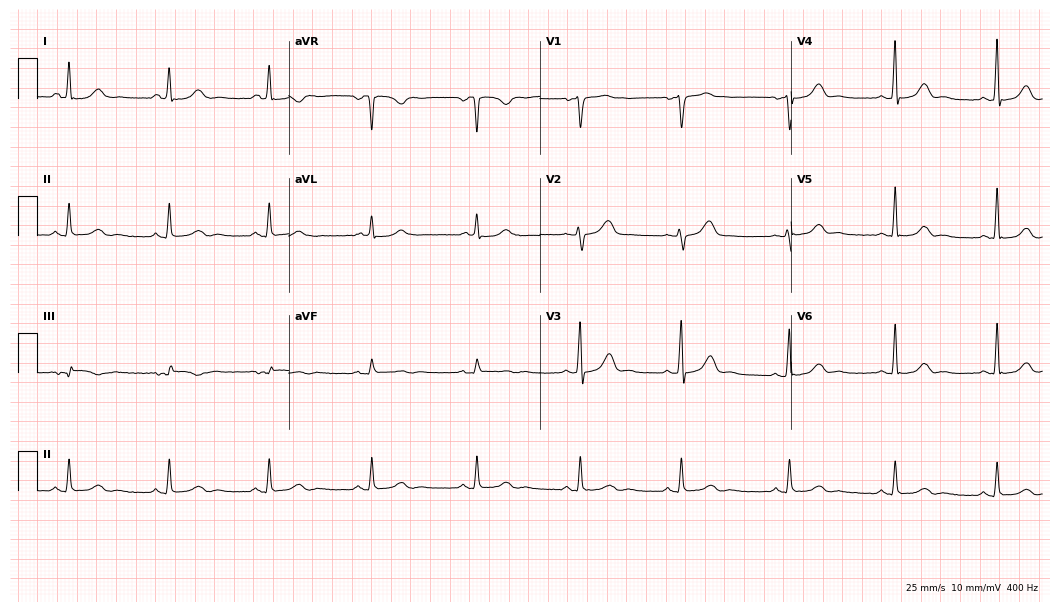
Resting 12-lead electrocardiogram. Patient: a female, 45 years old. Read as a normal ECG.